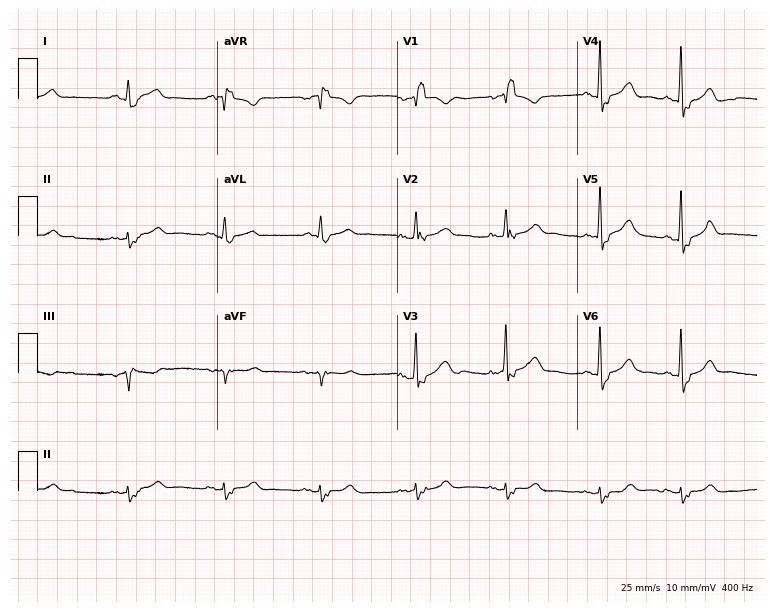
Electrocardiogram (7.3-second recording at 400 Hz), a 70-year-old male. Interpretation includes right bundle branch block.